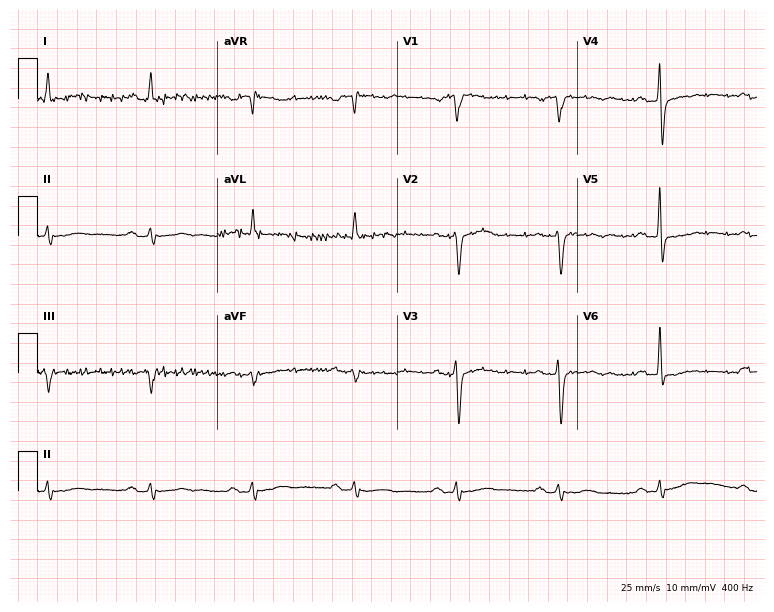
Standard 12-lead ECG recorded from a male, 84 years old. None of these six findings is recorded: first-degree AV block, right bundle branch block, left bundle branch block, sinus bradycardia, atrial fibrillation, sinus tachycardia. Findings outside these six are not listed.